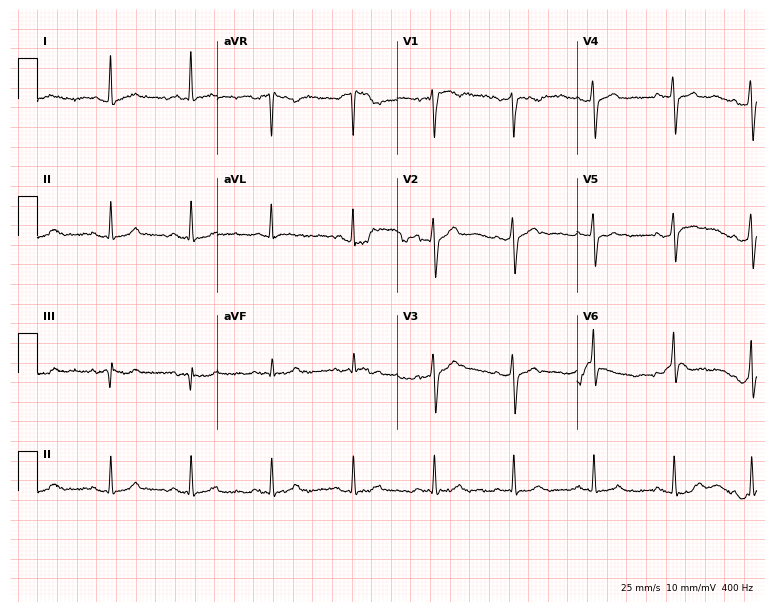
12-lead ECG (7.3-second recording at 400 Hz) from a man, 54 years old. Screened for six findings — first-degree AV block, right bundle branch block, left bundle branch block, sinus bradycardia, atrial fibrillation, sinus tachycardia — none is recorded. Only these six findings were labelled.